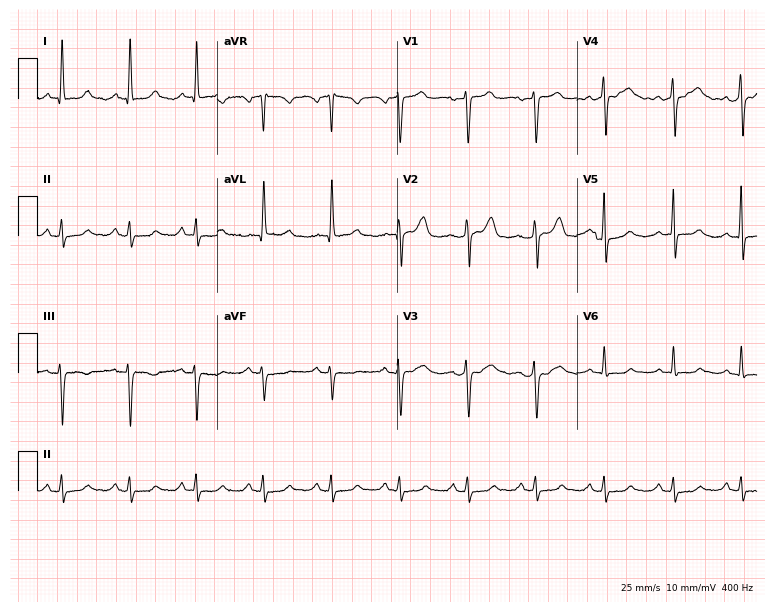
Electrocardiogram (7.3-second recording at 400 Hz), a female, 61 years old. Overall reading on record: normal ECG.